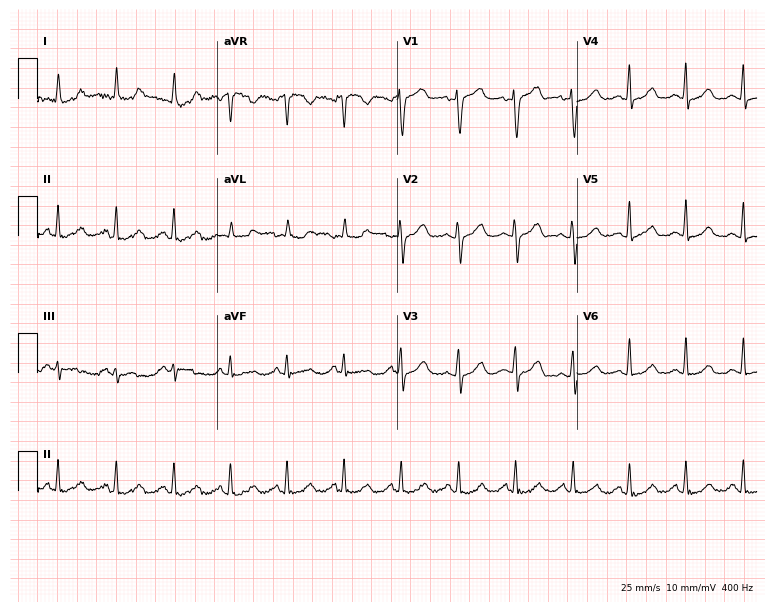
12-lead ECG from a female, 55 years old. Findings include sinus tachycardia (a sinus rate of 100 beats per minute or more).